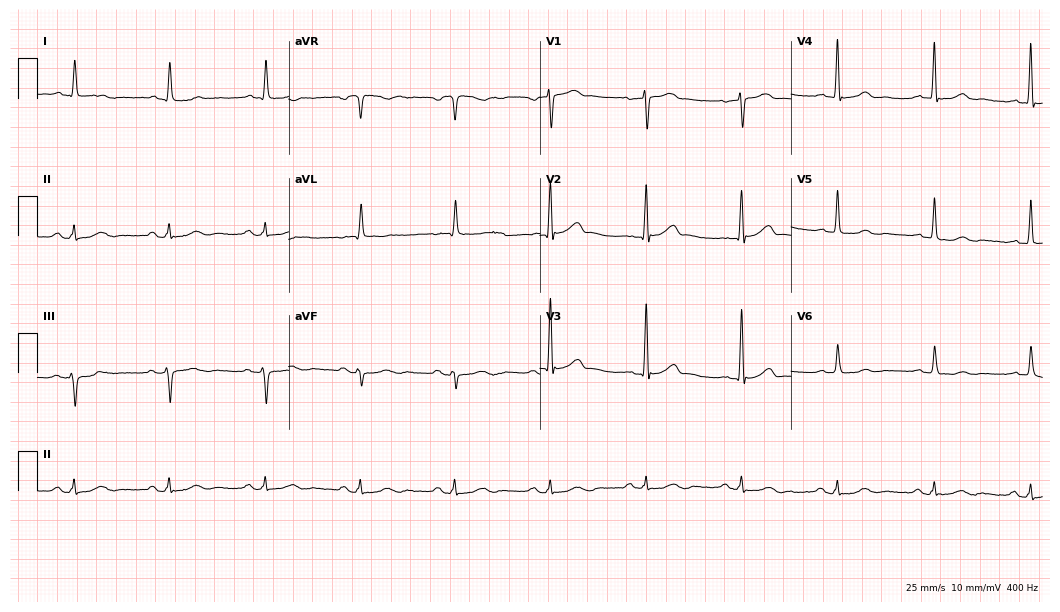
12-lead ECG from a male patient, 75 years old (10.2-second recording at 400 Hz). Recorded interpretation: within normal limits.